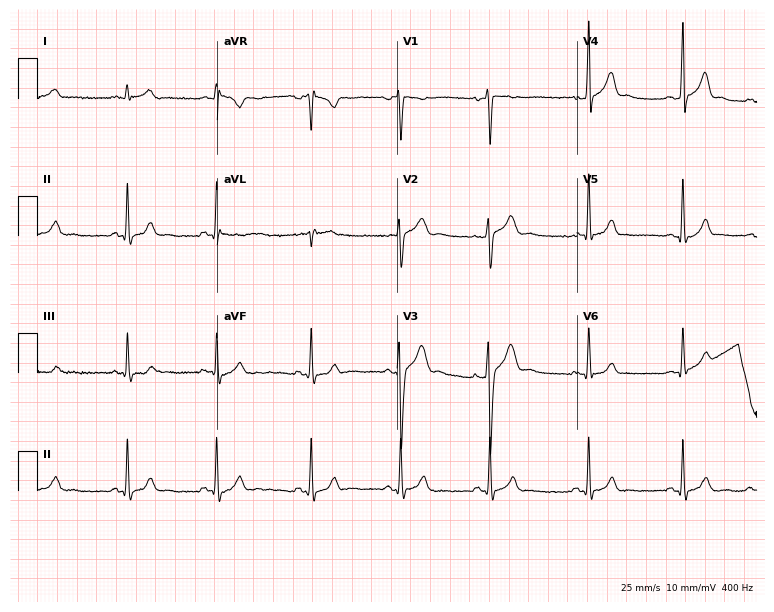
ECG — a 22-year-old male. Labelled as a normal ECG.